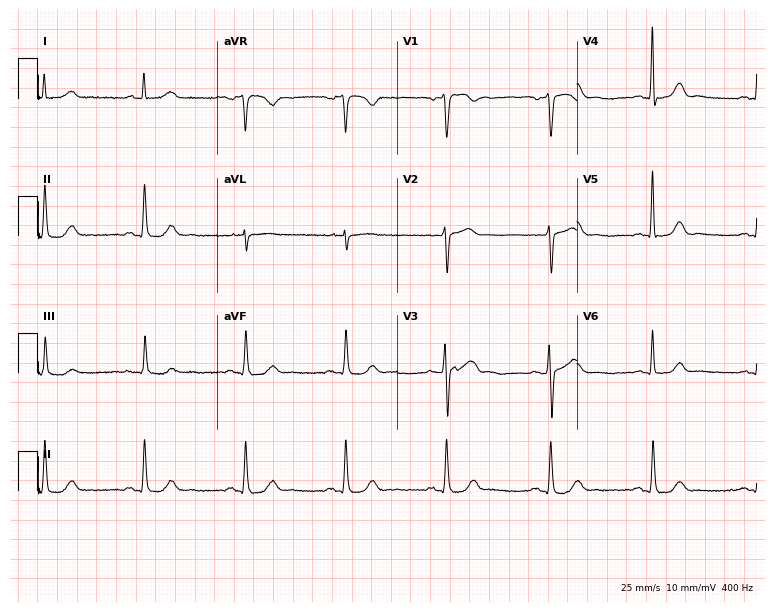
Standard 12-lead ECG recorded from a male patient, 68 years old (7.3-second recording at 400 Hz). None of these six findings is recorded: first-degree AV block, right bundle branch block, left bundle branch block, sinus bradycardia, atrial fibrillation, sinus tachycardia.